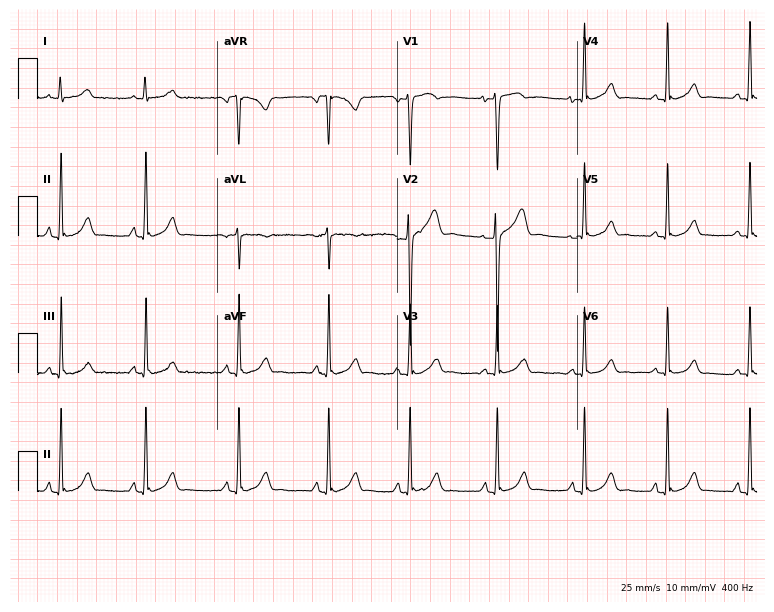
ECG — a 27-year-old female patient. Labelled as a normal ECG.